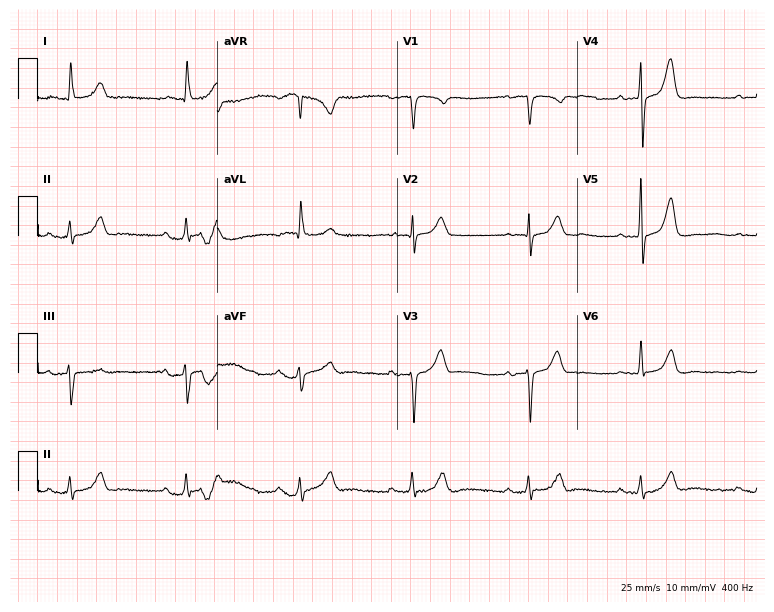
12-lead ECG from a man, 85 years old. Recorded interpretation: within normal limits.